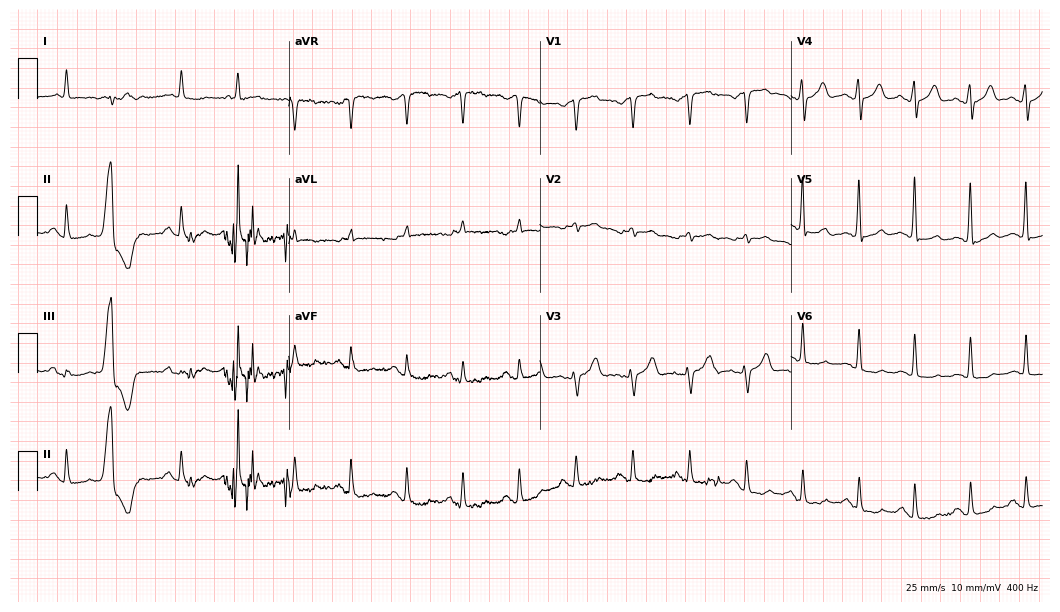
12-lead ECG from a male patient, 70 years old. Shows sinus tachycardia (a sinus rate of 100 beats per minute or more).